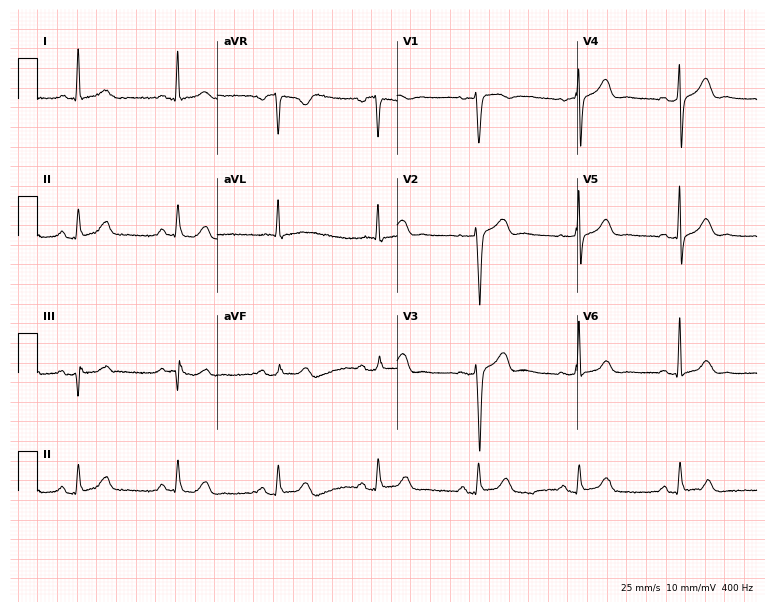
Standard 12-lead ECG recorded from a 79-year-old female. Read as a normal ECG.